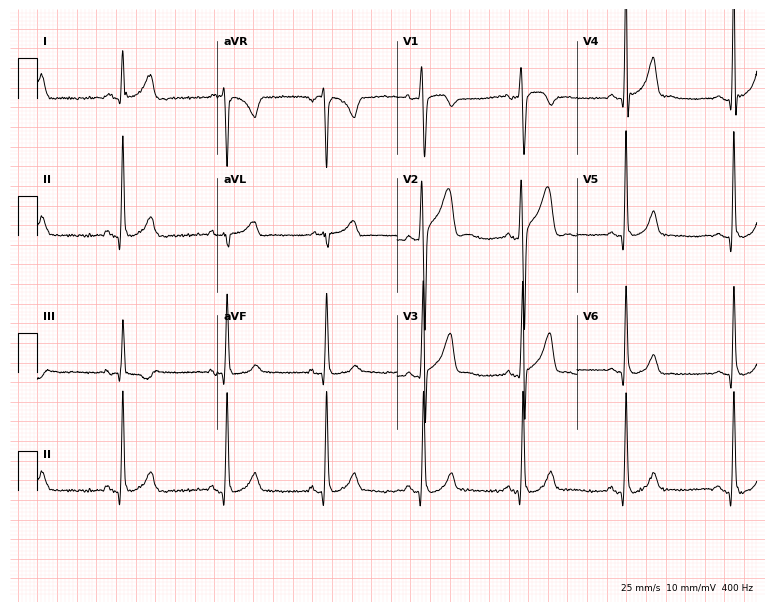
Standard 12-lead ECG recorded from a male, 35 years old (7.3-second recording at 400 Hz). Read as a normal ECG.